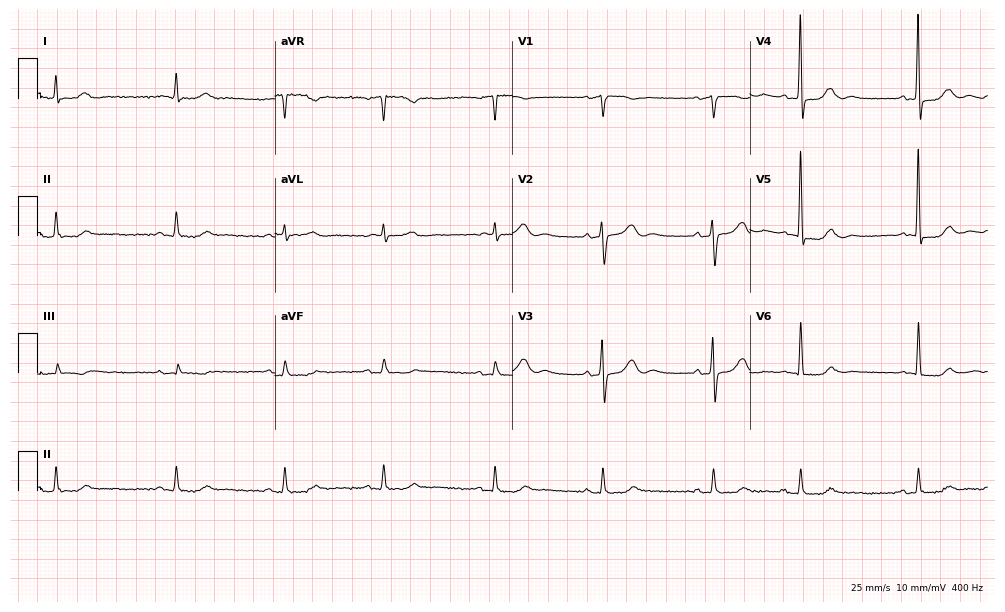
ECG (9.7-second recording at 400 Hz) — a female, 82 years old. Screened for six findings — first-degree AV block, right bundle branch block, left bundle branch block, sinus bradycardia, atrial fibrillation, sinus tachycardia — none is recorded. Only these six findings were labelled.